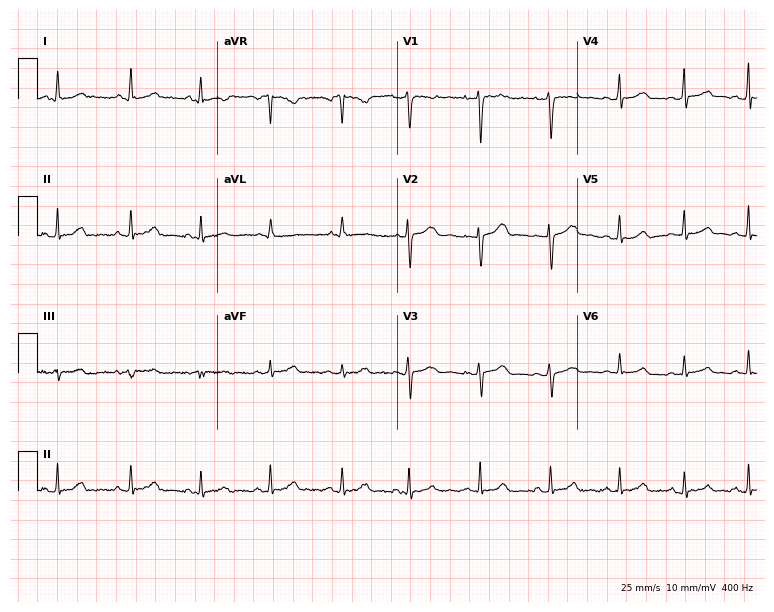
Resting 12-lead electrocardiogram. Patient: a 26-year-old female. Read as a normal ECG.